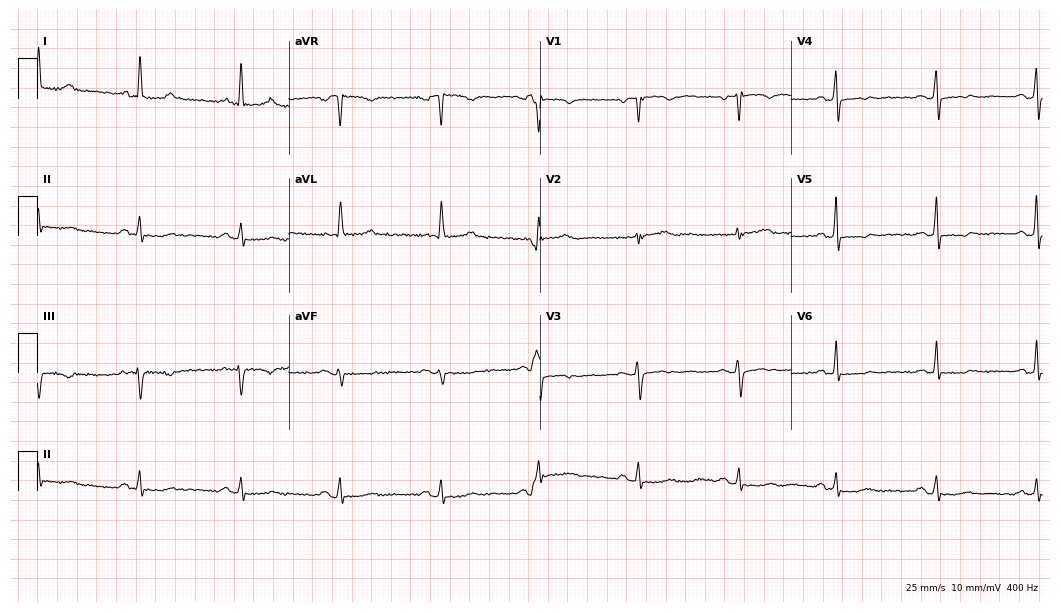
12-lead ECG from a 59-year-old woman. Screened for six findings — first-degree AV block, right bundle branch block, left bundle branch block, sinus bradycardia, atrial fibrillation, sinus tachycardia — none is recorded. Findings outside these six are not listed.